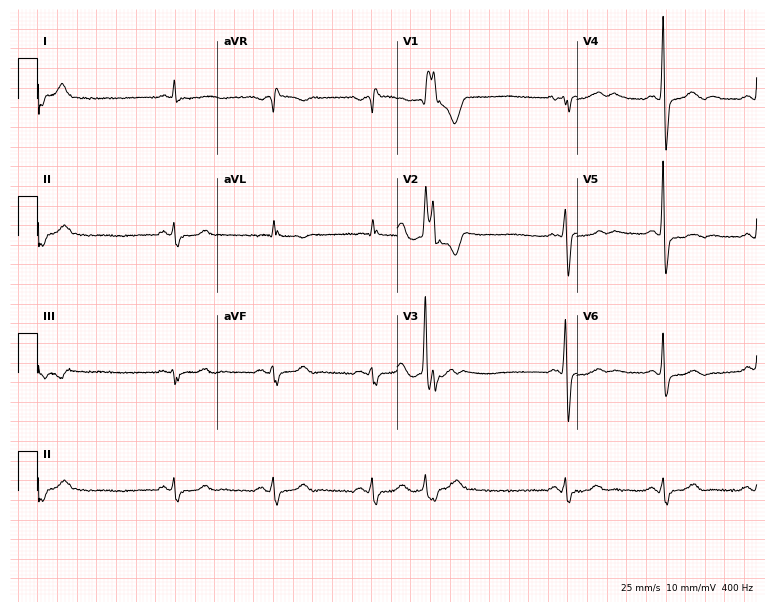
Resting 12-lead electrocardiogram. Patient: a 68-year-old male. None of these six findings is recorded: first-degree AV block, right bundle branch block, left bundle branch block, sinus bradycardia, atrial fibrillation, sinus tachycardia. Only these six findings were labelled.